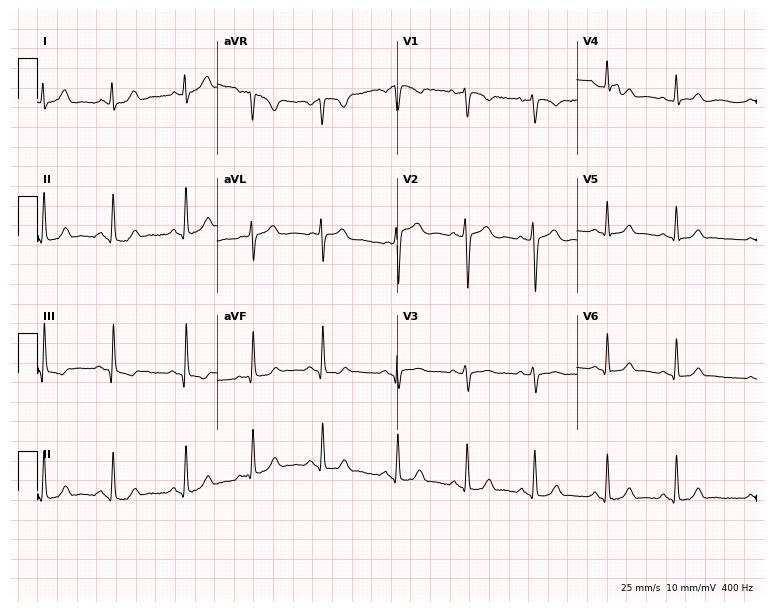
Standard 12-lead ECG recorded from a 22-year-old female patient. None of these six findings is recorded: first-degree AV block, right bundle branch block, left bundle branch block, sinus bradycardia, atrial fibrillation, sinus tachycardia. Other findings, if any, are not listed.